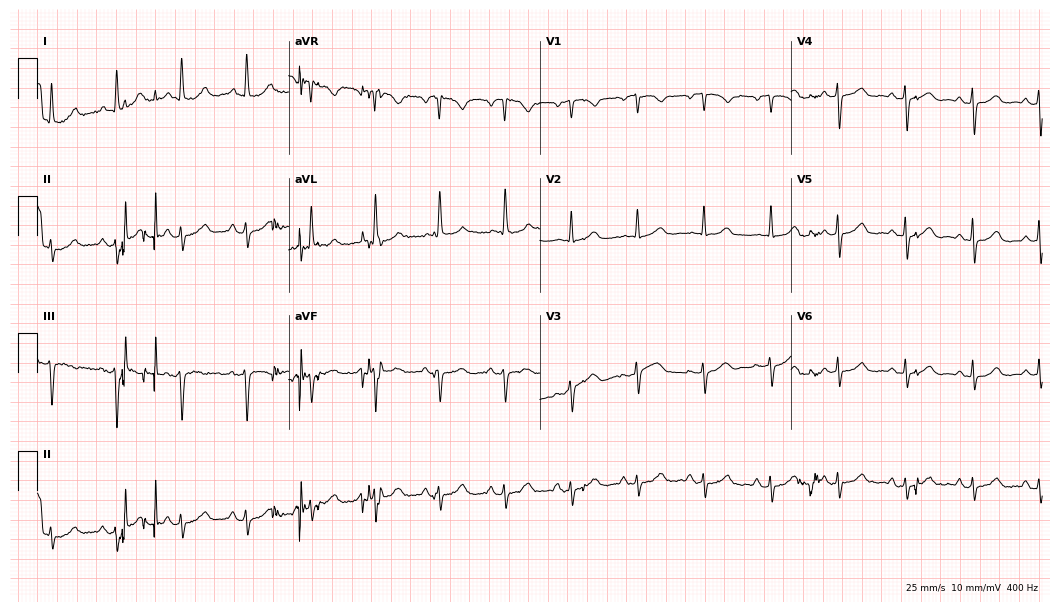
Electrocardiogram, a 73-year-old woman. Of the six screened findings (first-degree AV block, right bundle branch block, left bundle branch block, sinus bradycardia, atrial fibrillation, sinus tachycardia), none is recorded.